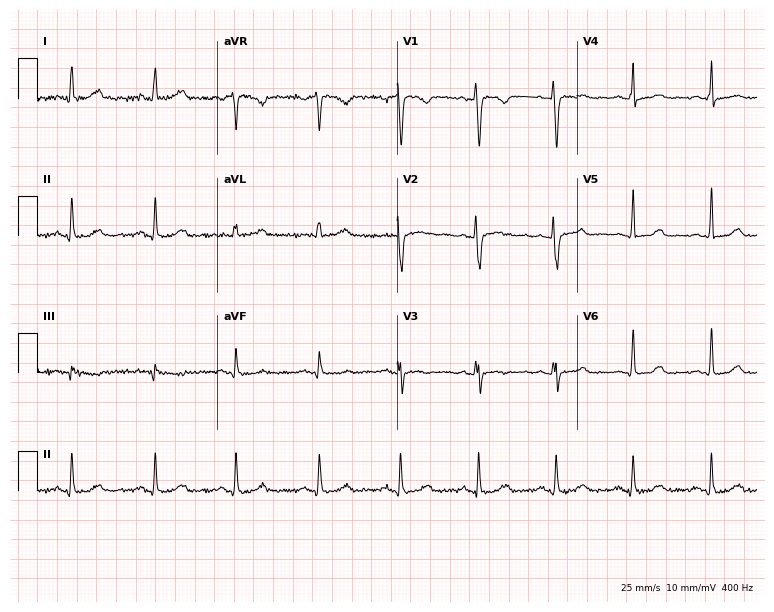
Resting 12-lead electrocardiogram (7.3-second recording at 400 Hz). Patient: a woman, 42 years old. Read as a normal ECG.